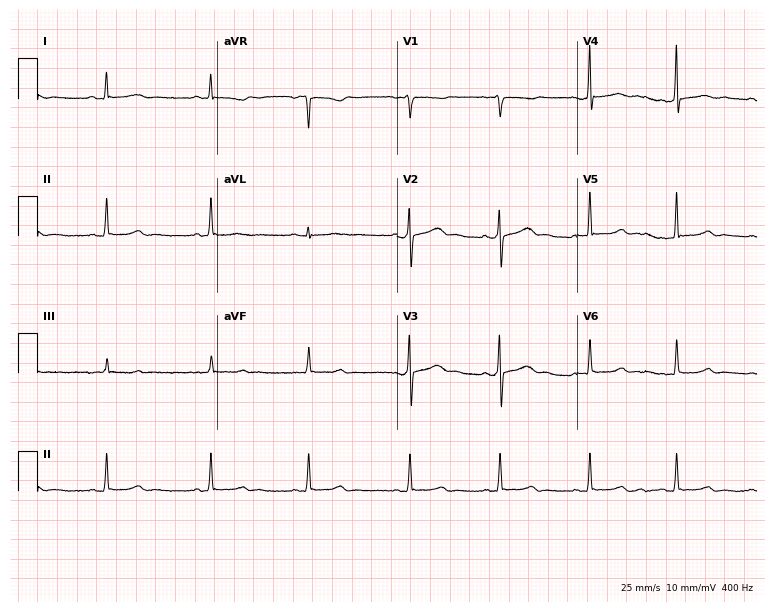
Standard 12-lead ECG recorded from a woman, 19 years old (7.3-second recording at 400 Hz). Read as a normal ECG.